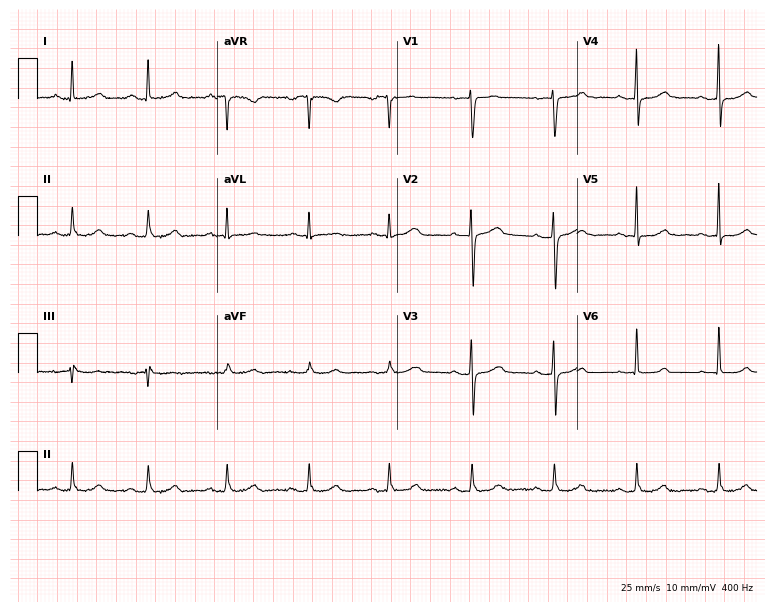
ECG (7.3-second recording at 400 Hz) — a female patient, 59 years old. Labelled as a normal ECG.